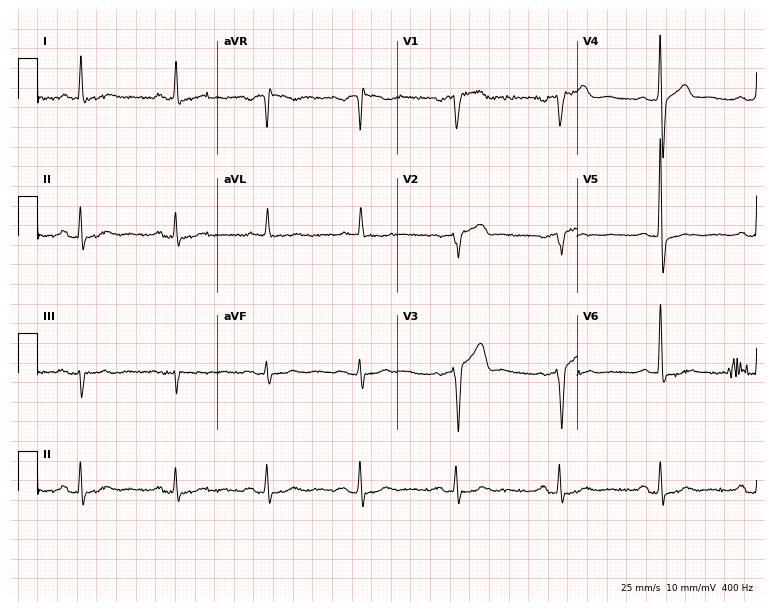
Resting 12-lead electrocardiogram. Patient: a 72-year-old man. None of these six findings is recorded: first-degree AV block, right bundle branch block (RBBB), left bundle branch block (LBBB), sinus bradycardia, atrial fibrillation (AF), sinus tachycardia. Only these six findings were labelled.